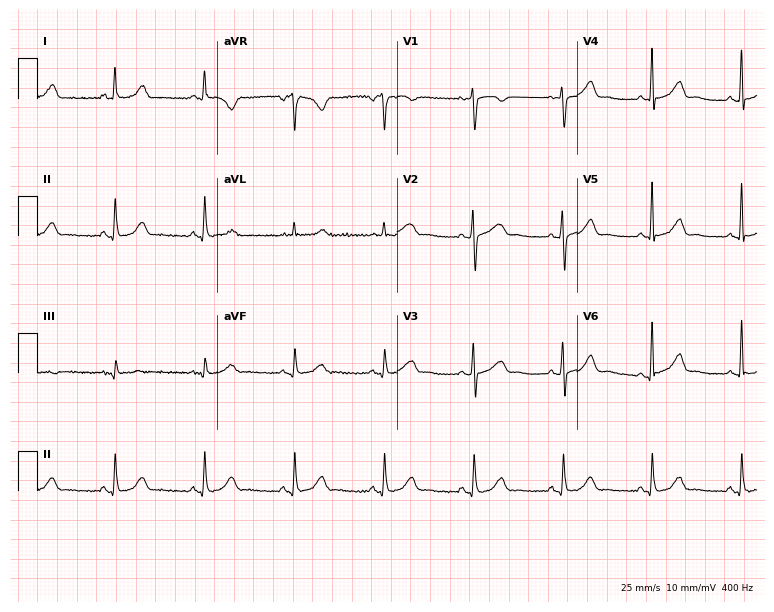
ECG — a 68-year-old female patient. Screened for six findings — first-degree AV block, right bundle branch block (RBBB), left bundle branch block (LBBB), sinus bradycardia, atrial fibrillation (AF), sinus tachycardia — none is recorded. Findings outside these six are not listed.